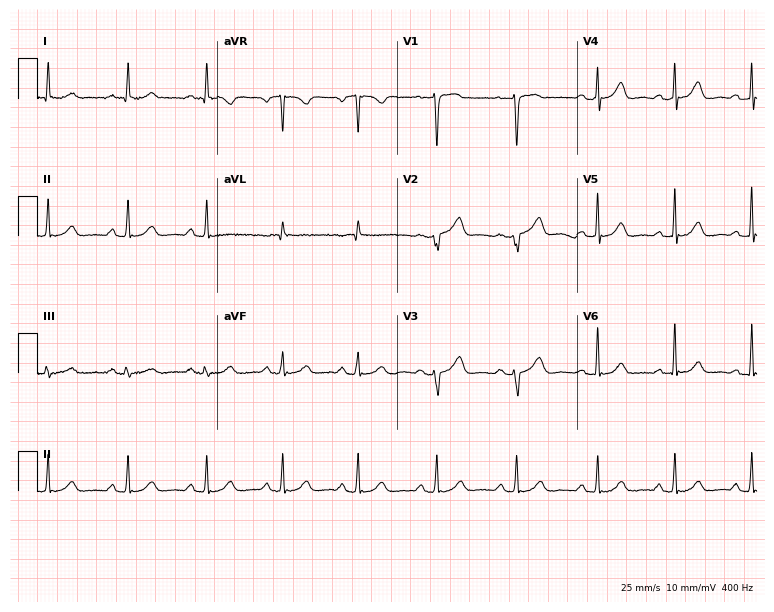
Standard 12-lead ECG recorded from a female patient, 42 years old (7.3-second recording at 400 Hz). Read as a normal ECG.